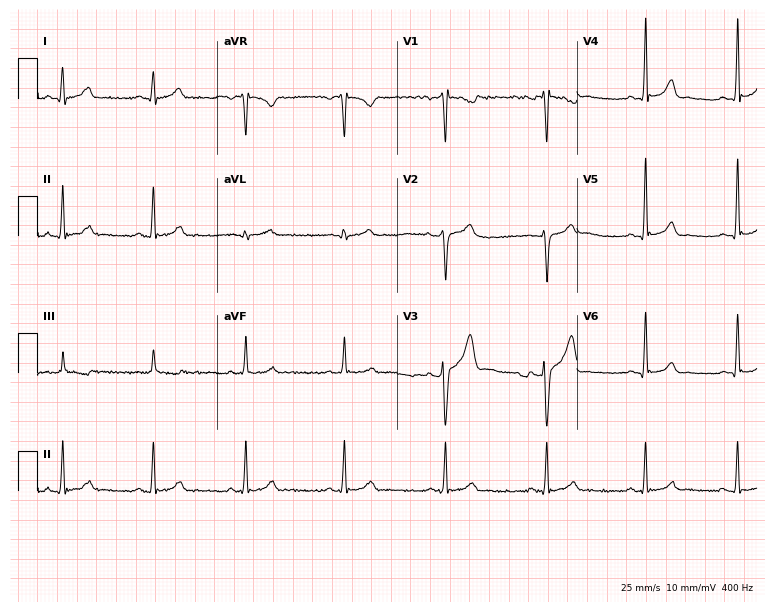
Resting 12-lead electrocardiogram. Patient: a male, 32 years old. Read as a normal ECG.